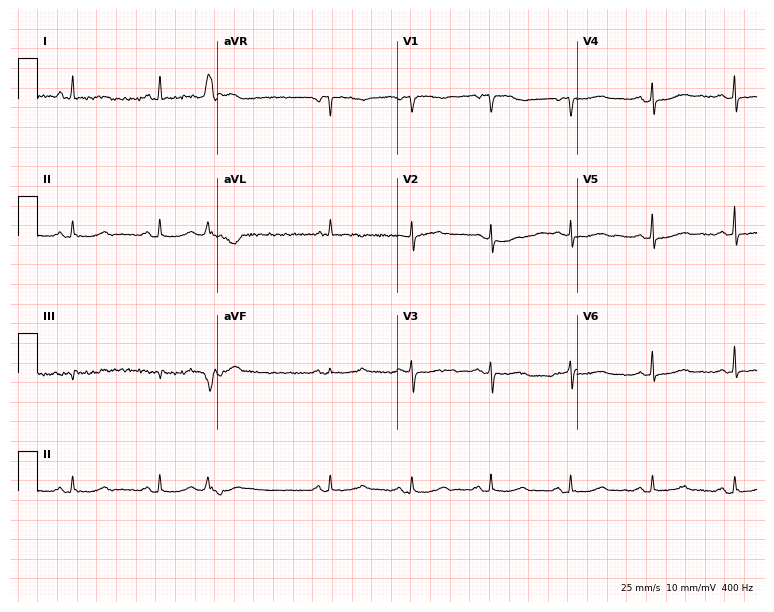
12-lead ECG from a 68-year-old female. Screened for six findings — first-degree AV block, right bundle branch block, left bundle branch block, sinus bradycardia, atrial fibrillation, sinus tachycardia — none is recorded.